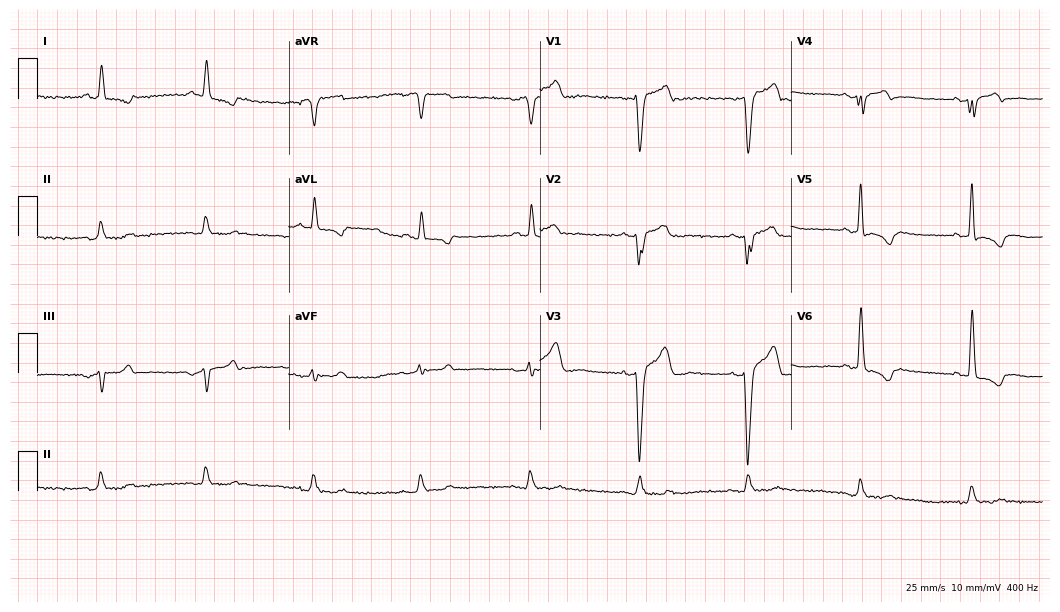
12-lead ECG from a male, 66 years old. No first-degree AV block, right bundle branch block, left bundle branch block, sinus bradycardia, atrial fibrillation or sinus tachycardia recorded for this tracing.